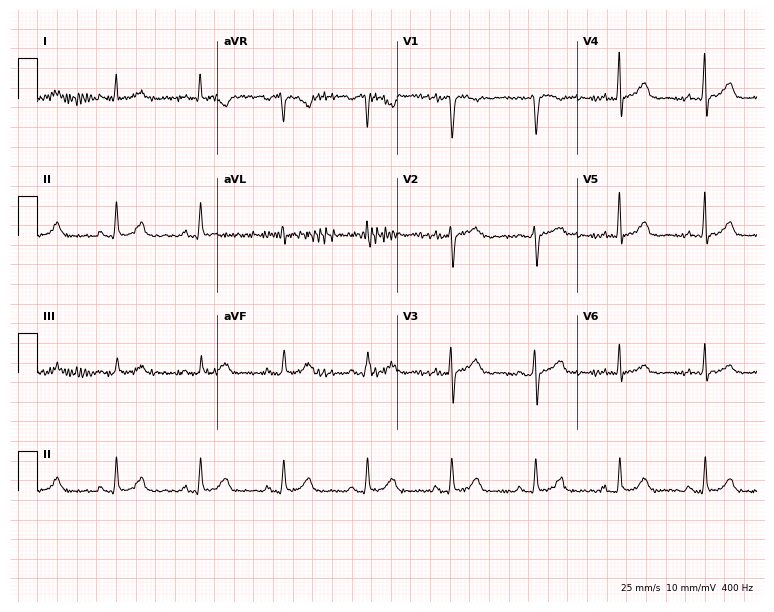
Electrocardiogram (7.3-second recording at 400 Hz), a 53-year-old female patient. Of the six screened findings (first-degree AV block, right bundle branch block, left bundle branch block, sinus bradycardia, atrial fibrillation, sinus tachycardia), none is recorded.